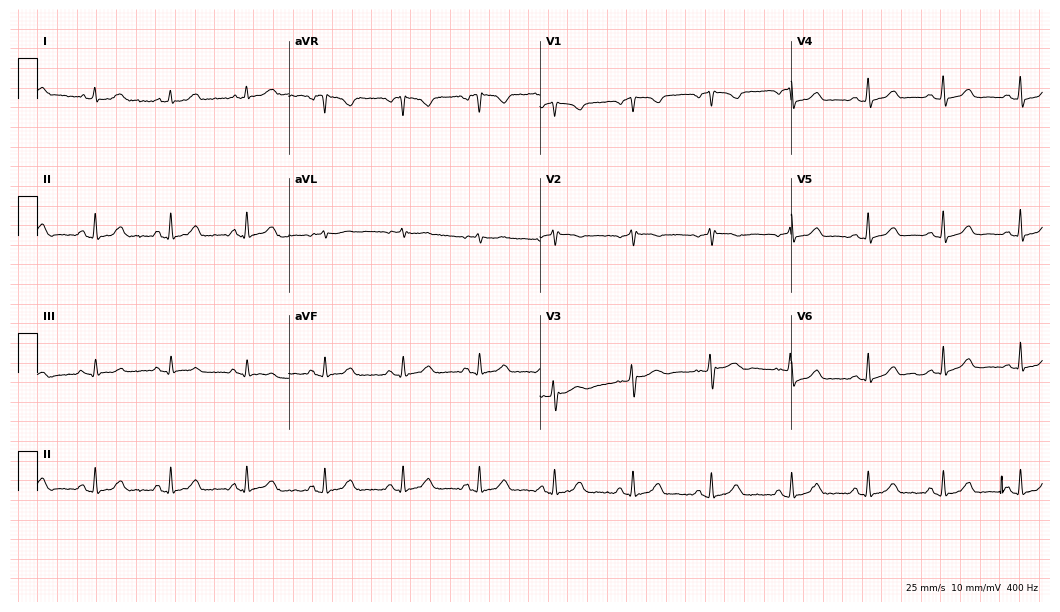
Resting 12-lead electrocardiogram (10.2-second recording at 400 Hz). Patient: a female, 70 years old. Read as a normal ECG.